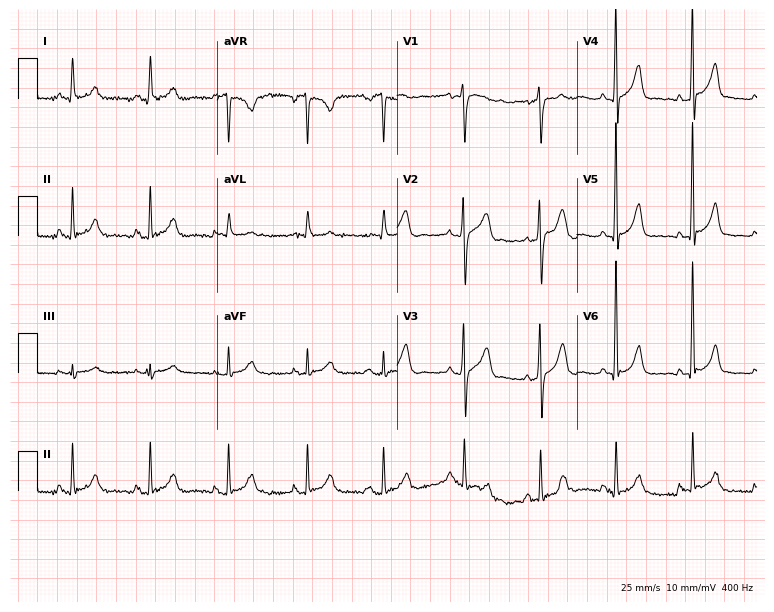
12-lead ECG from a 74-year-old man (7.3-second recording at 400 Hz). No first-degree AV block, right bundle branch block, left bundle branch block, sinus bradycardia, atrial fibrillation or sinus tachycardia recorded for this tracing.